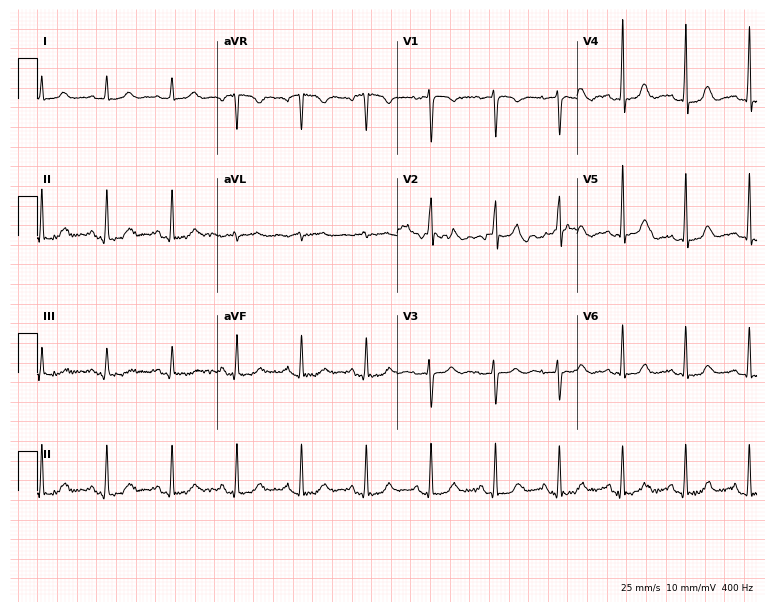
12-lead ECG from a female, 48 years old. Labelled as a normal ECG.